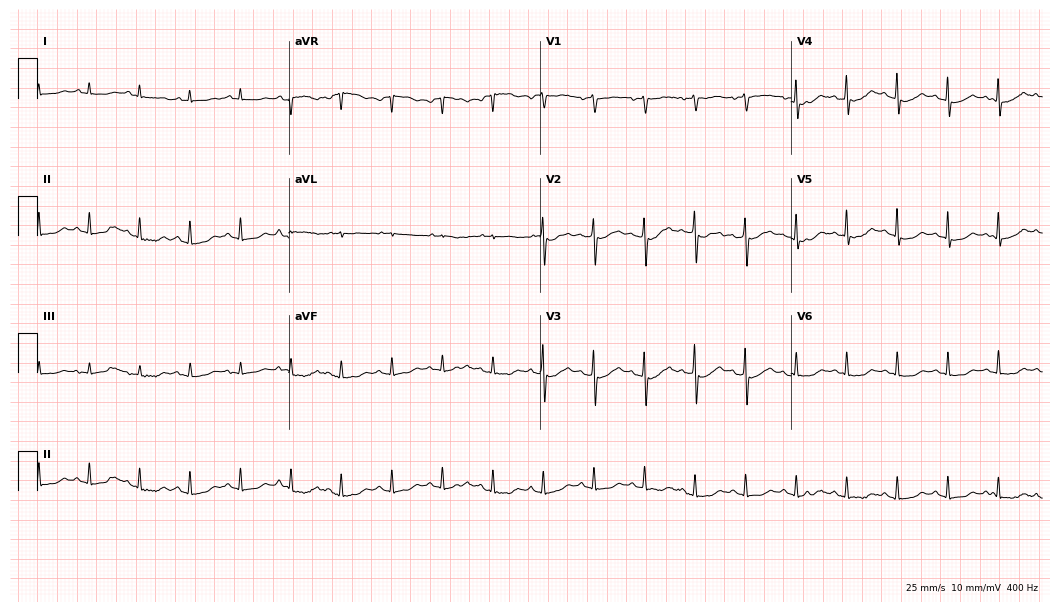
Standard 12-lead ECG recorded from a female, 76 years old. The tracing shows sinus tachycardia (a sinus rate of 100 beats per minute or more).